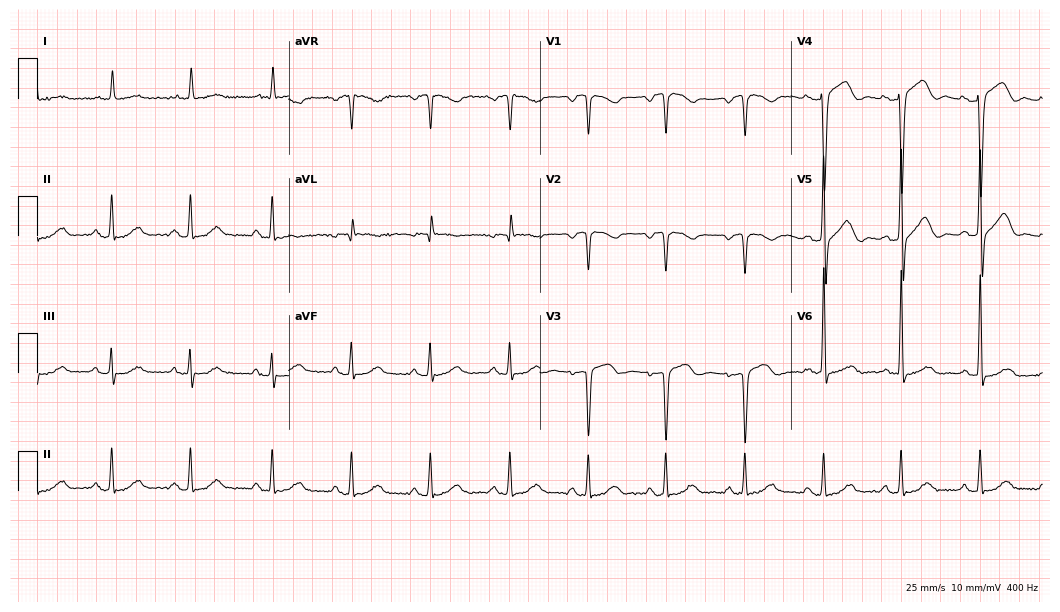
12-lead ECG from a female, 84 years old (10.2-second recording at 400 Hz). No first-degree AV block, right bundle branch block, left bundle branch block, sinus bradycardia, atrial fibrillation or sinus tachycardia recorded for this tracing.